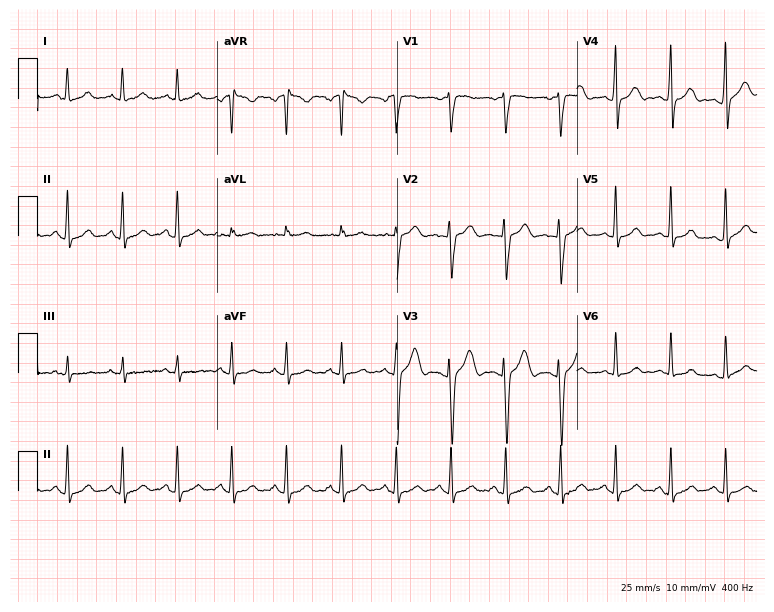
12-lead ECG (7.3-second recording at 400 Hz) from a 25-year-old female patient. Findings include sinus tachycardia (a sinus rate of 100 beats per minute or more).